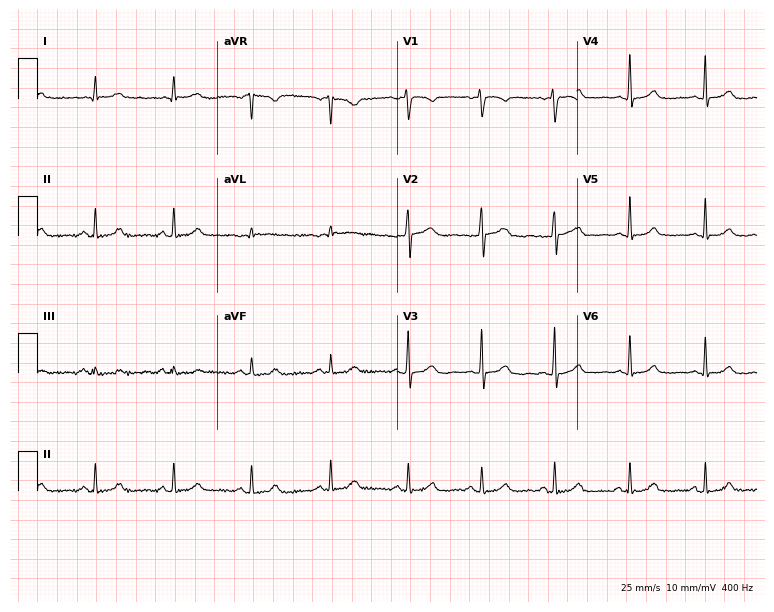
12-lead ECG from a woman, 42 years old. Labelled as a normal ECG.